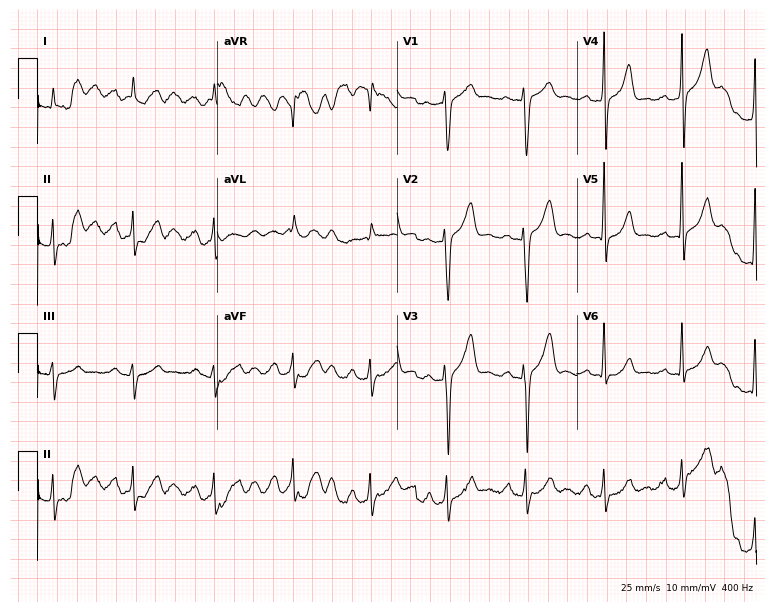
Resting 12-lead electrocardiogram. Patient: a 62-year-old man. Read as a normal ECG.